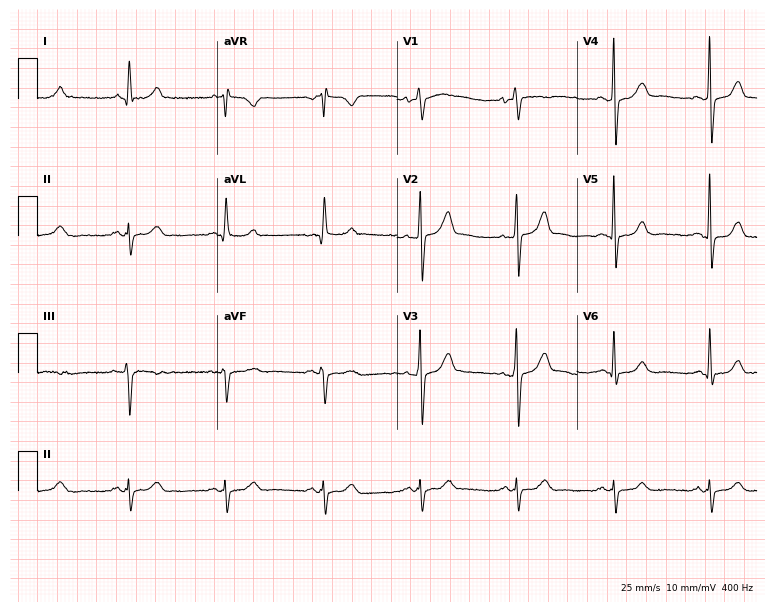
12-lead ECG from a male patient, 76 years old. Screened for six findings — first-degree AV block, right bundle branch block, left bundle branch block, sinus bradycardia, atrial fibrillation, sinus tachycardia — none is recorded.